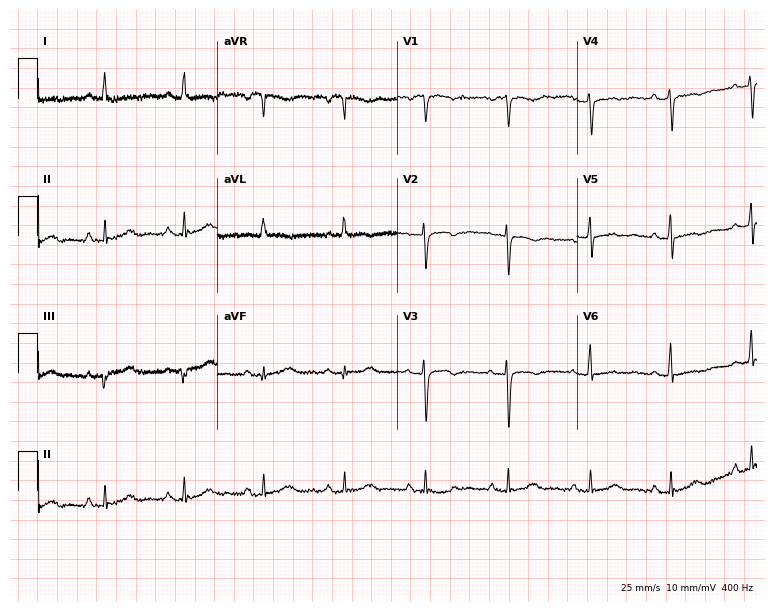
Electrocardiogram (7.3-second recording at 400 Hz), a 70-year-old female. Of the six screened findings (first-degree AV block, right bundle branch block, left bundle branch block, sinus bradycardia, atrial fibrillation, sinus tachycardia), none is recorded. Only these six findings were labelled.